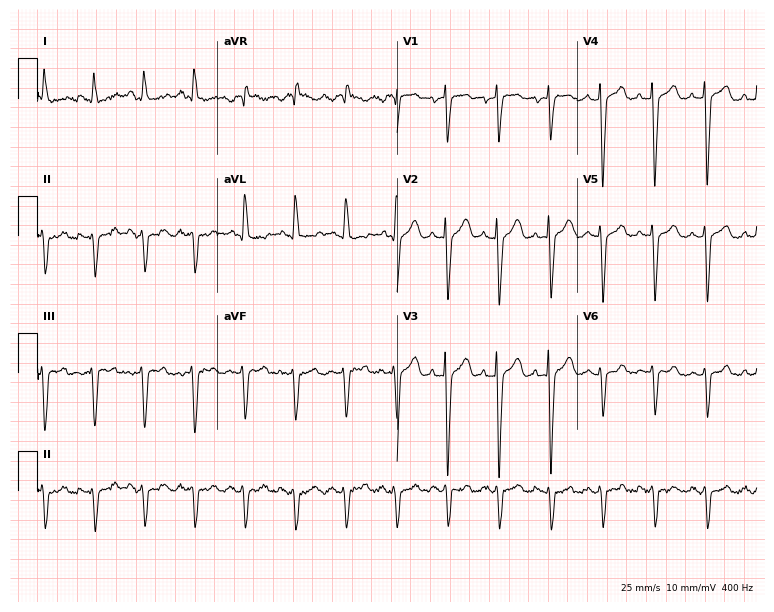
12-lead ECG from a female, 81 years old (7.3-second recording at 400 Hz). Shows sinus tachycardia (a sinus rate of 100 beats per minute or more).